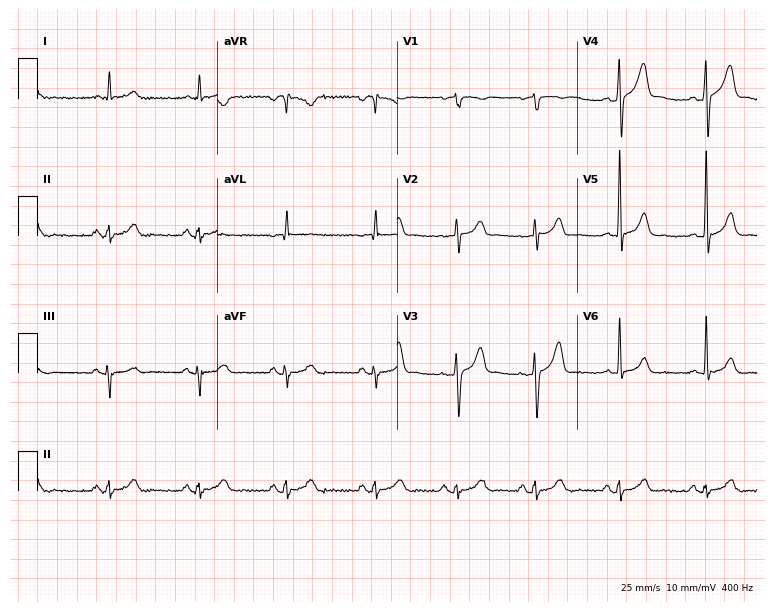
12-lead ECG from a 55-year-old male. Recorded interpretation: within normal limits.